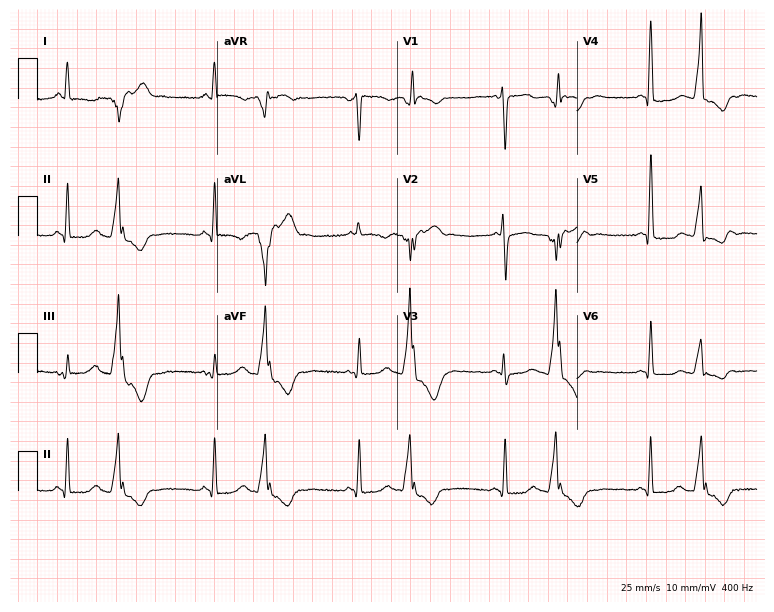
Standard 12-lead ECG recorded from a 60-year-old female (7.3-second recording at 400 Hz). None of these six findings is recorded: first-degree AV block, right bundle branch block, left bundle branch block, sinus bradycardia, atrial fibrillation, sinus tachycardia.